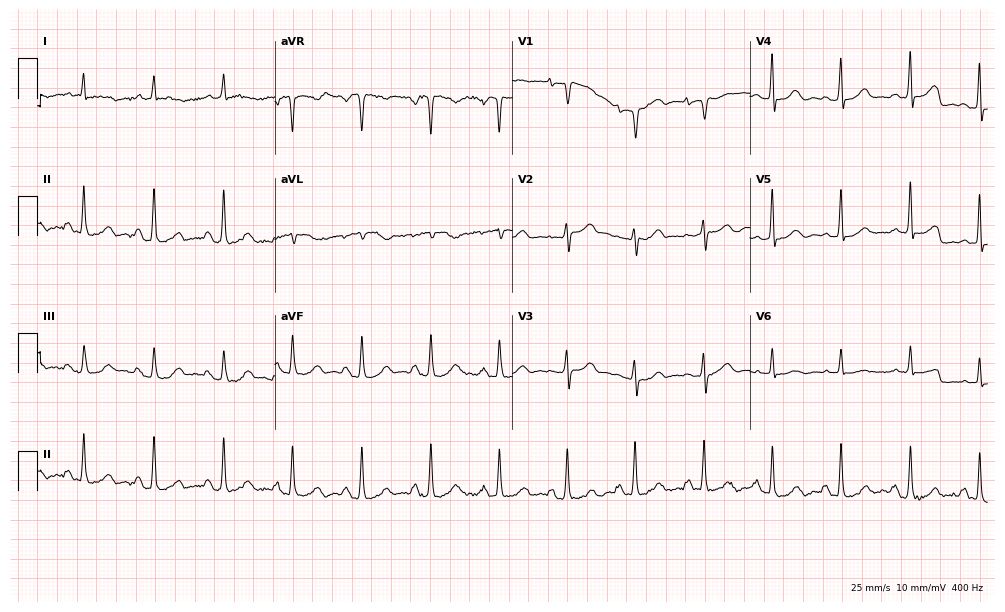
Resting 12-lead electrocardiogram (9.7-second recording at 400 Hz). Patient: a male, 75 years old. Read as a normal ECG.